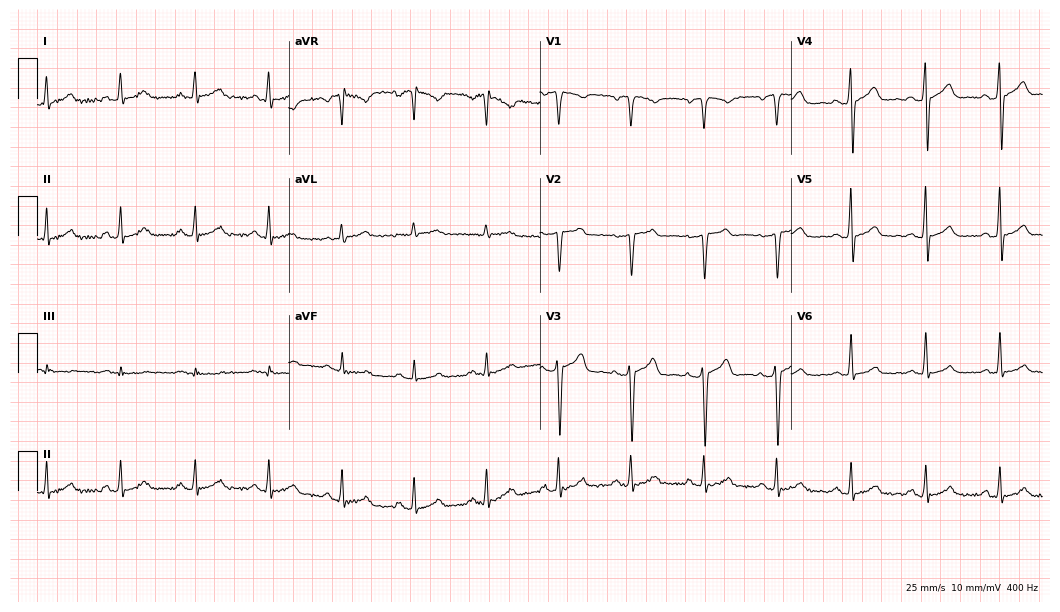
12-lead ECG (10.2-second recording at 400 Hz) from a 30-year-old male patient. Screened for six findings — first-degree AV block, right bundle branch block, left bundle branch block, sinus bradycardia, atrial fibrillation, sinus tachycardia — none is recorded.